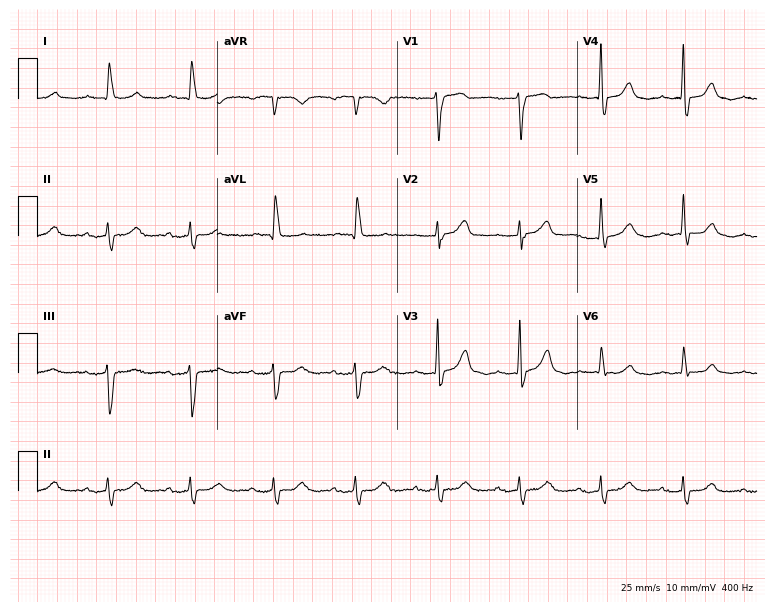
Electrocardiogram (7.3-second recording at 400 Hz), a female patient, 75 years old. Overall reading on record: normal ECG.